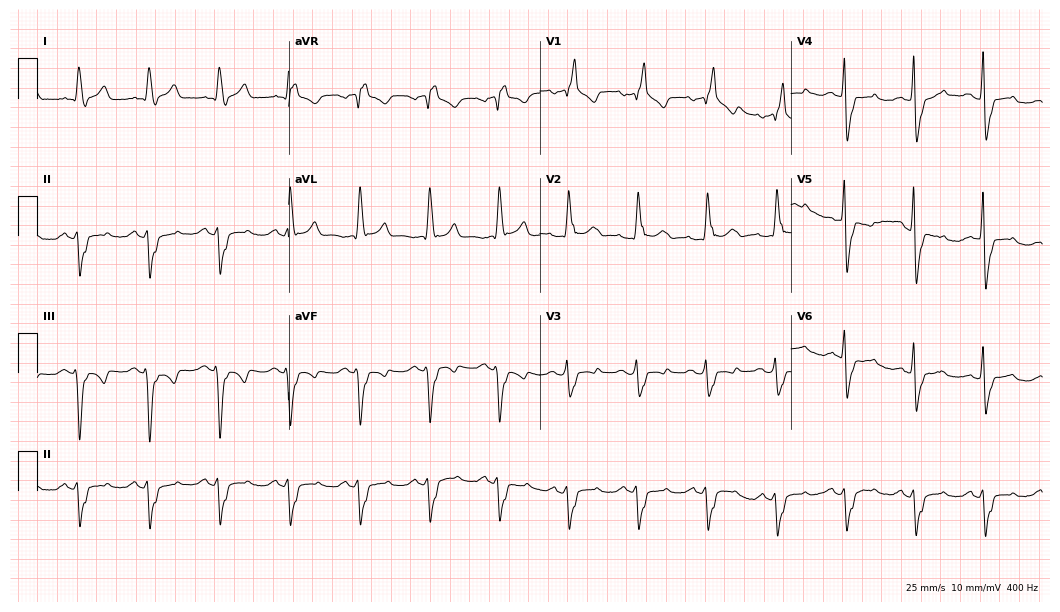
Electrocardiogram, a man, 73 years old. Interpretation includes right bundle branch block (RBBB).